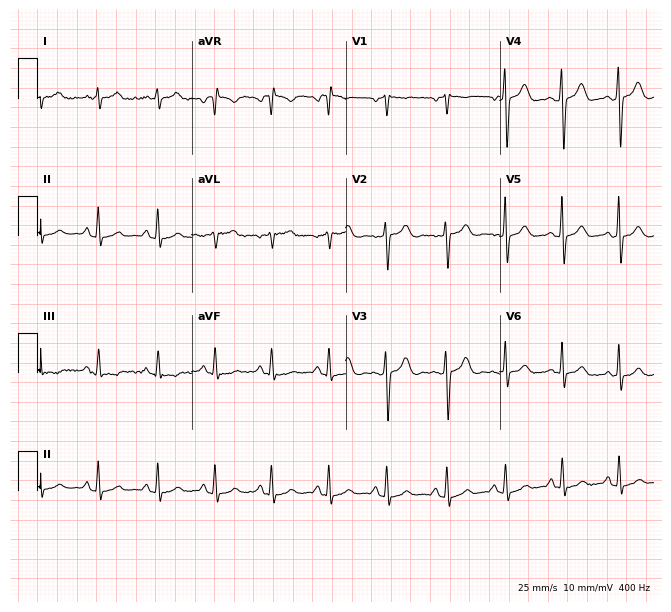
Electrocardiogram (6.3-second recording at 400 Hz), a female, 23 years old. Interpretation includes sinus tachycardia (a sinus rate of 100 beats per minute or more).